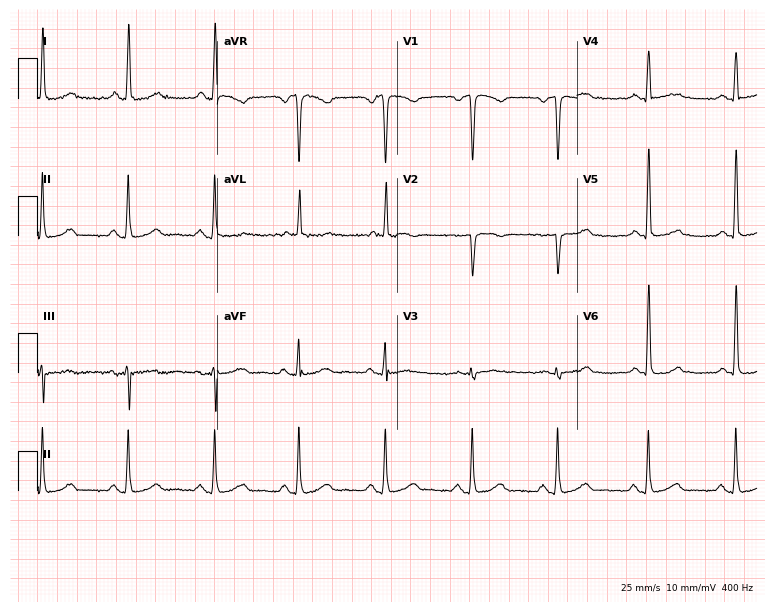
Resting 12-lead electrocardiogram (7.3-second recording at 400 Hz). Patient: a female, 69 years old. None of these six findings is recorded: first-degree AV block, right bundle branch block (RBBB), left bundle branch block (LBBB), sinus bradycardia, atrial fibrillation (AF), sinus tachycardia.